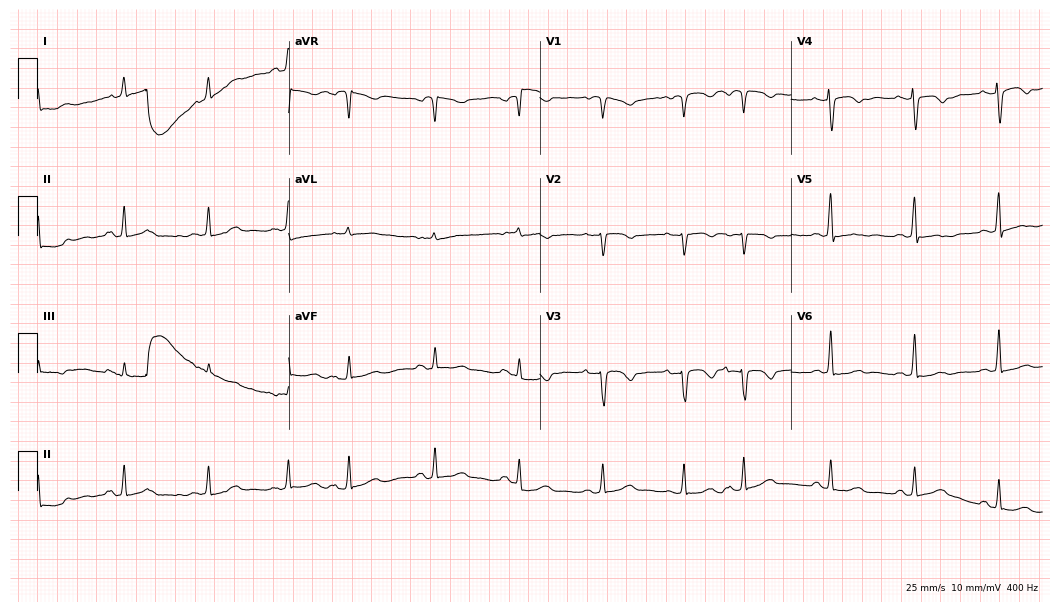
Electrocardiogram (10.2-second recording at 400 Hz), a female, 63 years old. Of the six screened findings (first-degree AV block, right bundle branch block (RBBB), left bundle branch block (LBBB), sinus bradycardia, atrial fibrillation (AF), sinus tachycardia), none is recorded. Only these six findings were labelled.